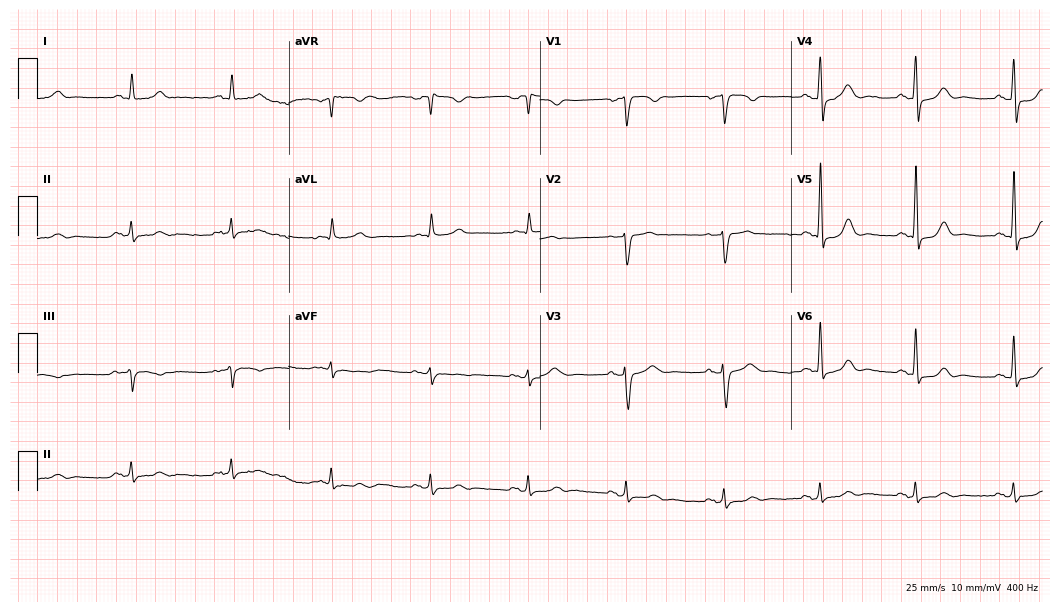
ECG (10.2-second recording at 400 Hz) — an 80-year-old male patient. Labelled as a normal ECG.